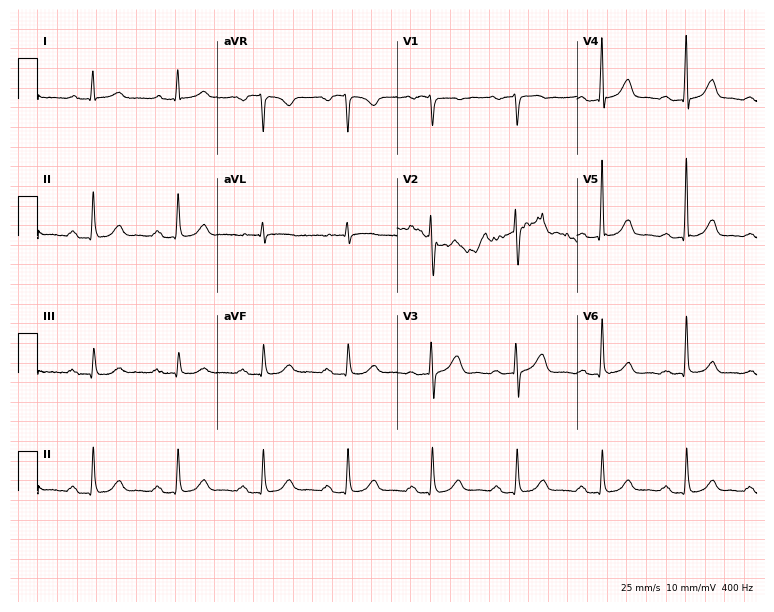
Resting 12-lead electrocardiogram. Patient: a male, 74 years old. The tracing shows first-degree AV block.